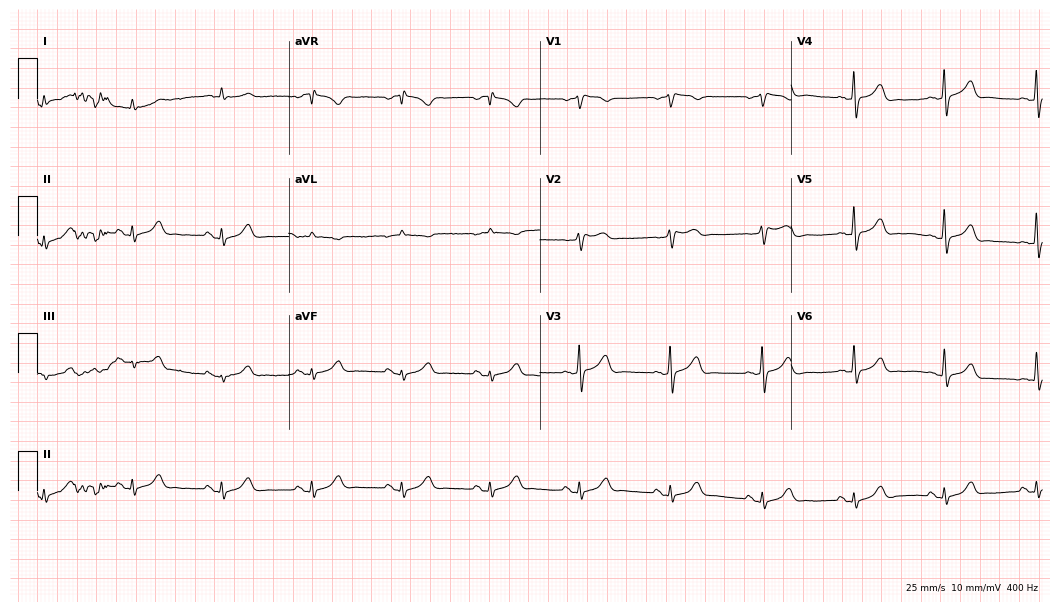
Resting 12-lead electrocardiogram (10.2-second recording at 400 Hz). Patient: a man, 78 years old. Read as a normal ECG.